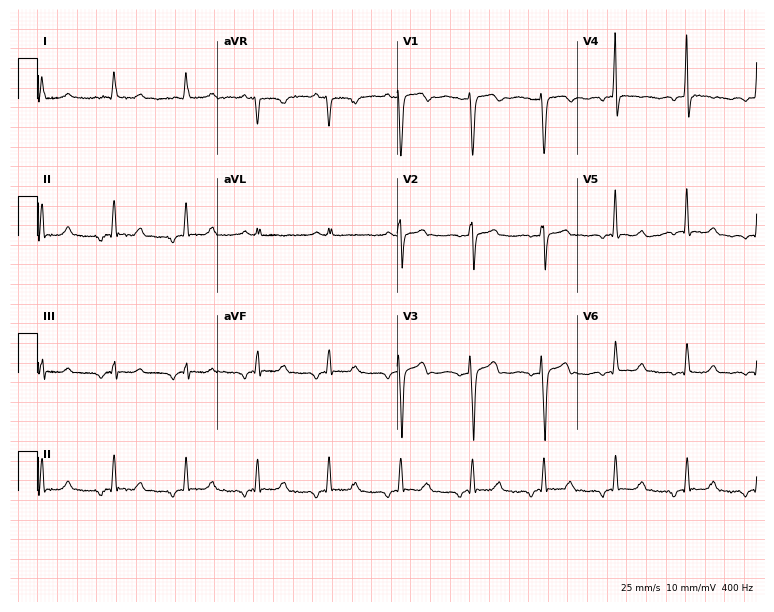
ECG (7.3-second recording at 400 Hz) — a female, 47 years old. Screened for six findings — first-degree AV block, right bundle branch block, left bundle branch block, sinus bradycardia, atrial fibrillation, sinus tachycardia — none is recorded.